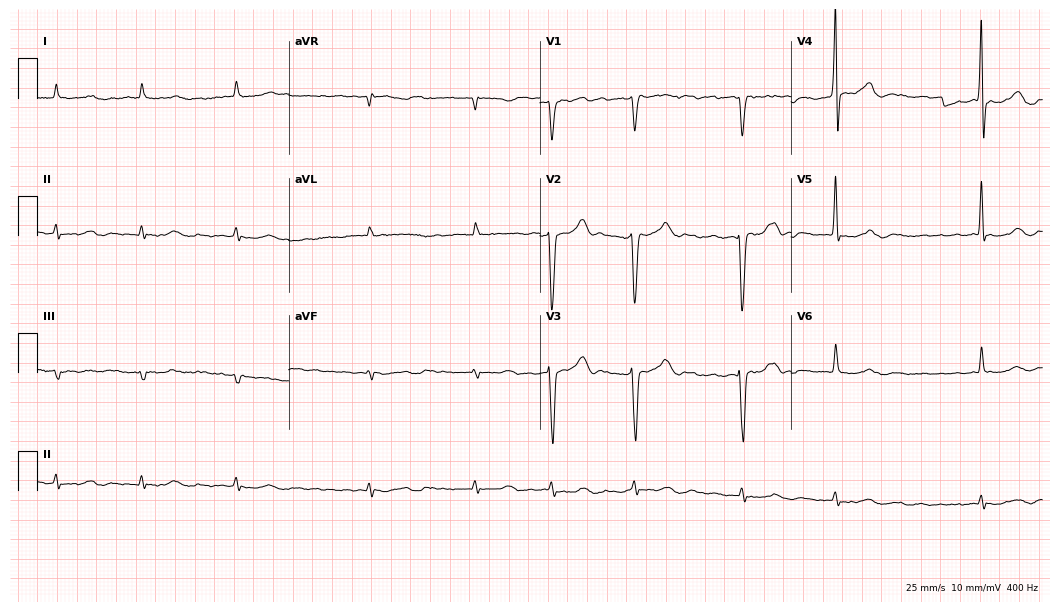
12-lead ECG (10.2-second recording at 400 Hz) from a male, 85 years old. Findings include atrial fibrillation.